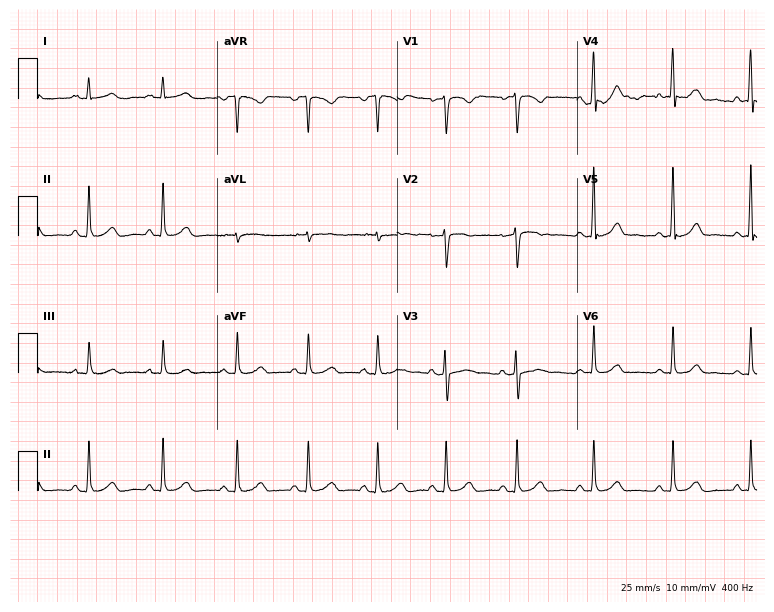
Standard 12-lead ECG recorded from a woman, 46 years old (7.3-second recording at 400 Hz). Read as a normal ECG.